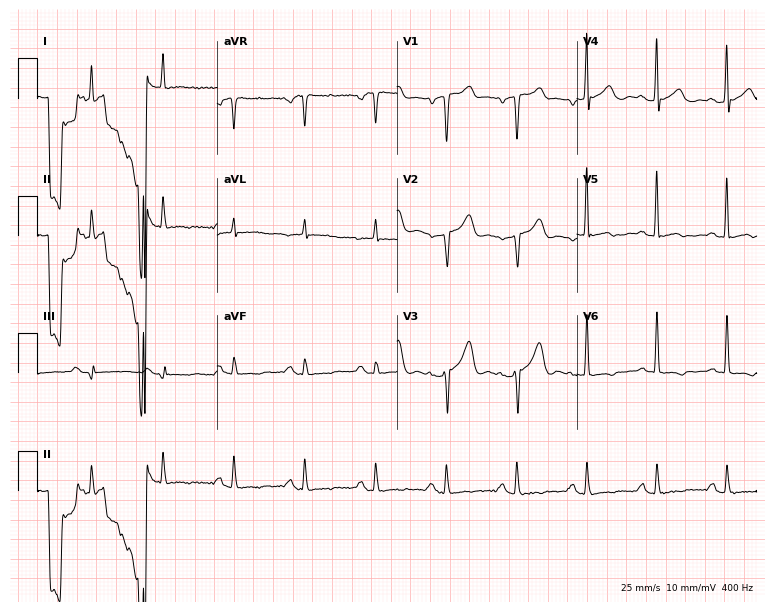
Electrocardiogram, an 83-year-old male patient. Of the six screened findings (first-degree AV block, right bundle branch block (RBBB), left bundle branch block (LBBB), sinus bradycardia, atrial fibrillation (AF), sinus tachycardia), none is recorded.